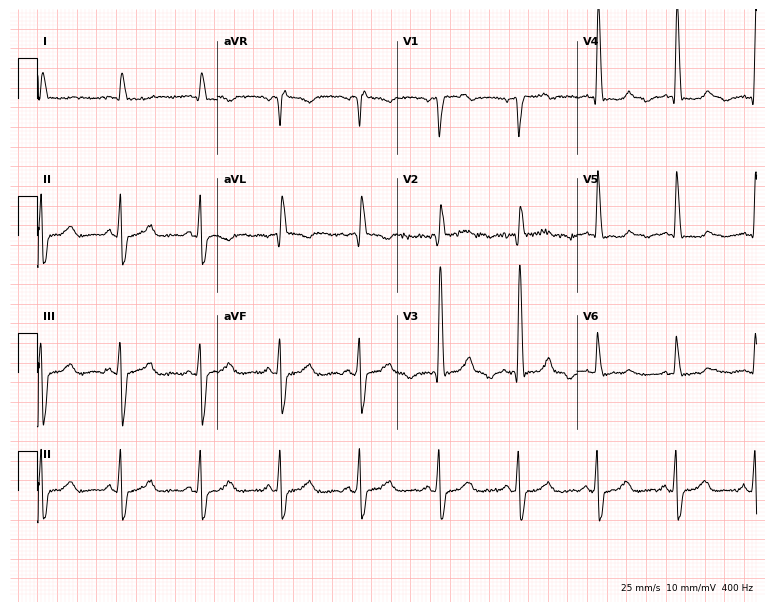
Electrocardiogram (7.3-second recording at 400 Hz), a 74-year-old male patient. Of the six screened findings (first-degree AV block, right bundle branch block (RBBB), left bundle branch block (LBBB), sinus bradycardia, atrial fibrillation (AF), sinus tachycardia), none is recorded. Other findings, if any, are not listed.